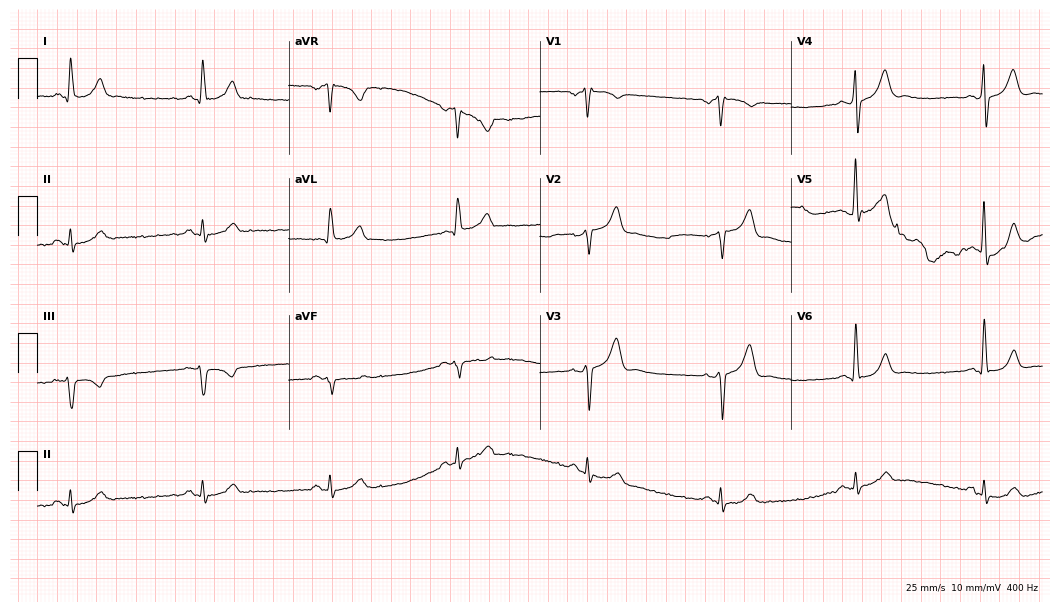
12-lead ECG (10.2-second recording at 400 Hz) from a male patient, 52 years old. Findings include sinus bradycardia (a sinus rate of 50 beats per minute or less).